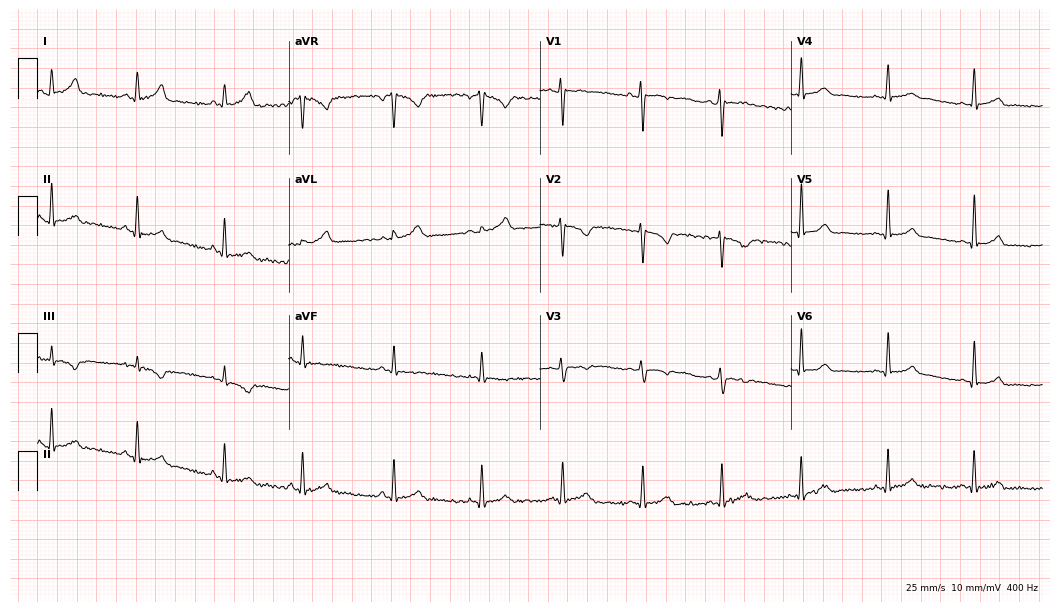
ECG (10.2-second recording at 400 Hz) — a female, 18 years old. Screened for six findings — first-degree AV block, right bundle branch block, left bundle branch block, sinus bradycardia, atrial fibrillation, sinus tachycardia — none is recorded.